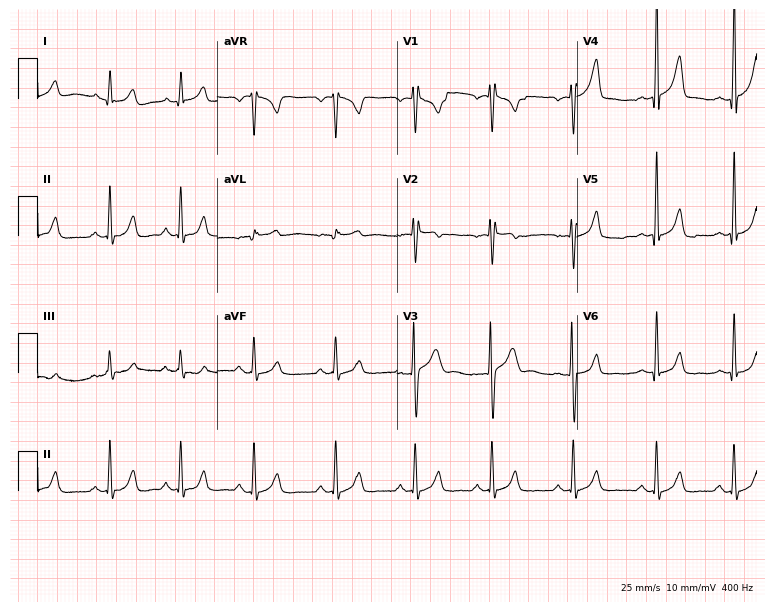
Resting 12-lead electrocardiogram. Patient: a 25-year-old male. None of these six findings is recorded: first-degree AV block, right bundle branch block, left bundle branch block, sinus bradycardia, atrial fibrillation, sinus tachycardia. Findings outside these six are not listed.